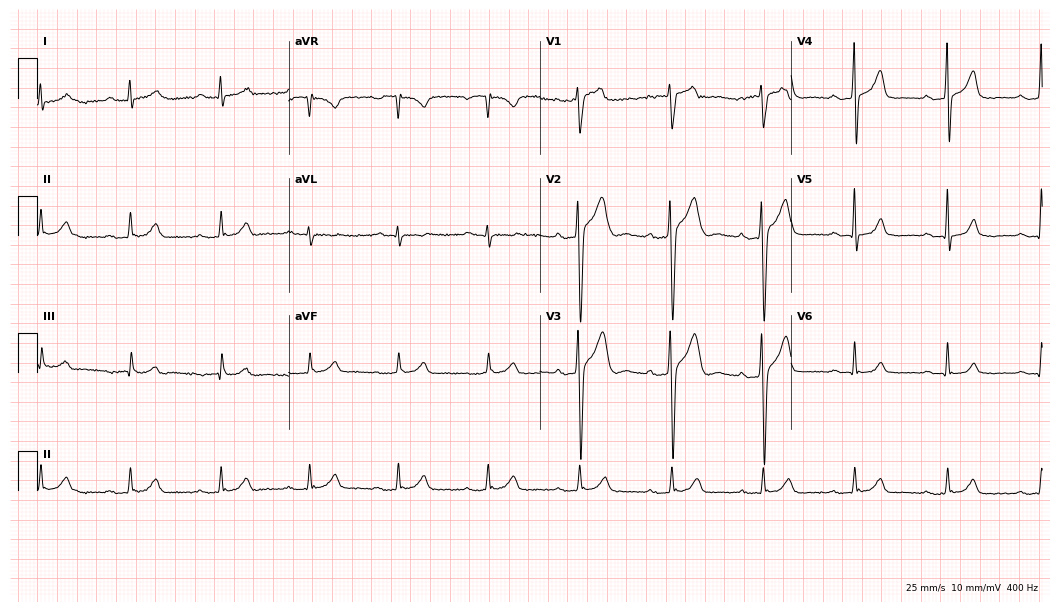
Electrocardiogram (10.2-second recording at 400 Hz), a male, 76 years old. Overall reading on record: normal ECG.